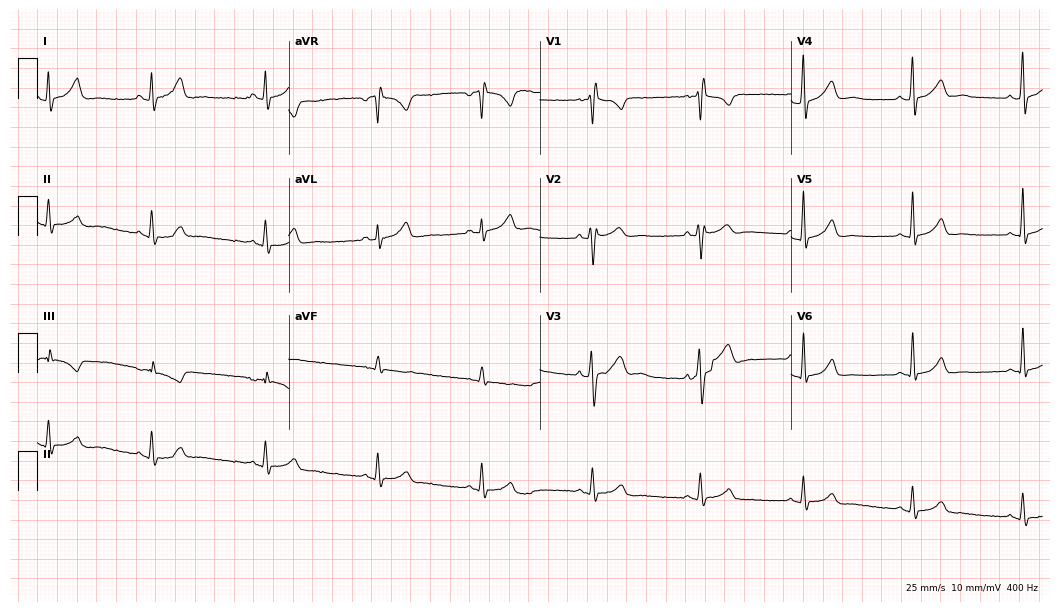
Resting 12-lead electrocardiogram (10.2-second recording at 400 Hz). Patient: a 34-year-old man. Read as a normal ECG.